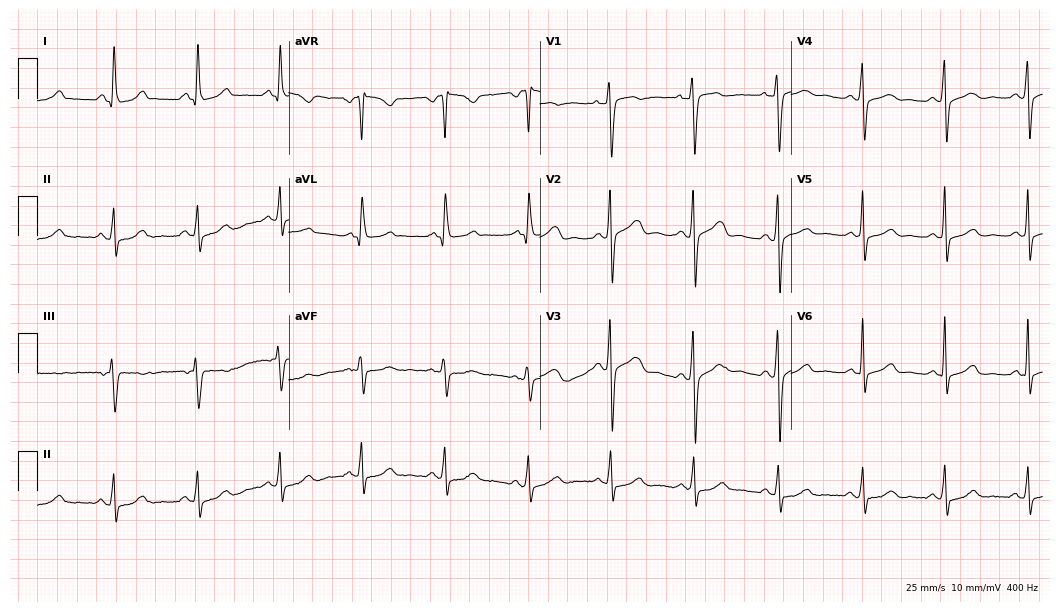
12-lead ECG from a female, 44 years old. Screened for six findings — first-degree AV block, right bundle branch block, left bundle branch block, sinus bradycardia, atrial fibrillation, sinus tachycardia — none is recorded.